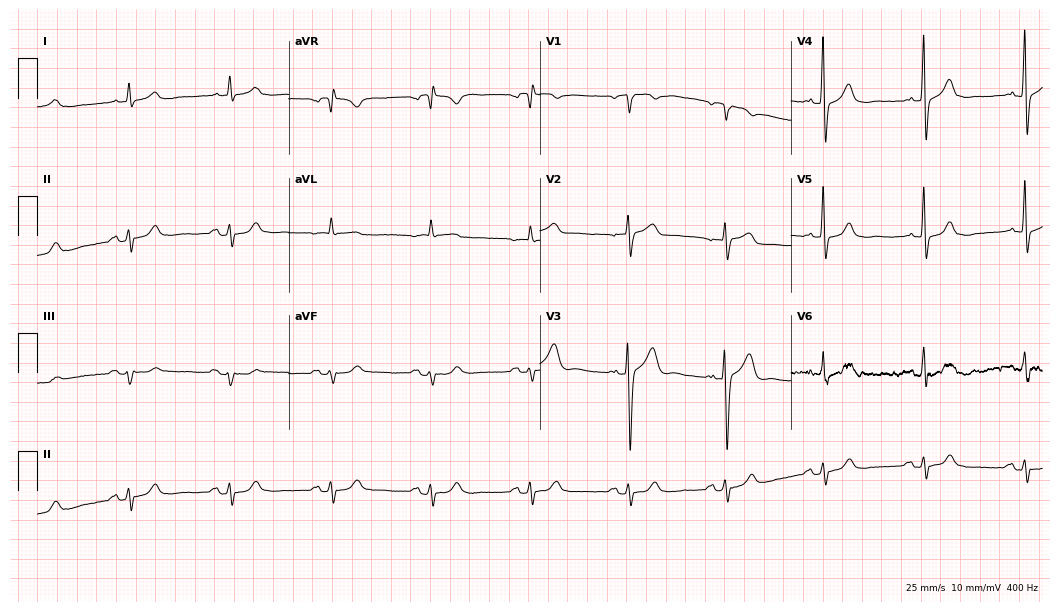
12-lead ECG from an 82-year-old man. Screened for six findings — first-degree AV block, right bundle branch block, left bundle branch block, sinus bradycardia, atrial fibrillation, sinus tachycardia — none is recorded.